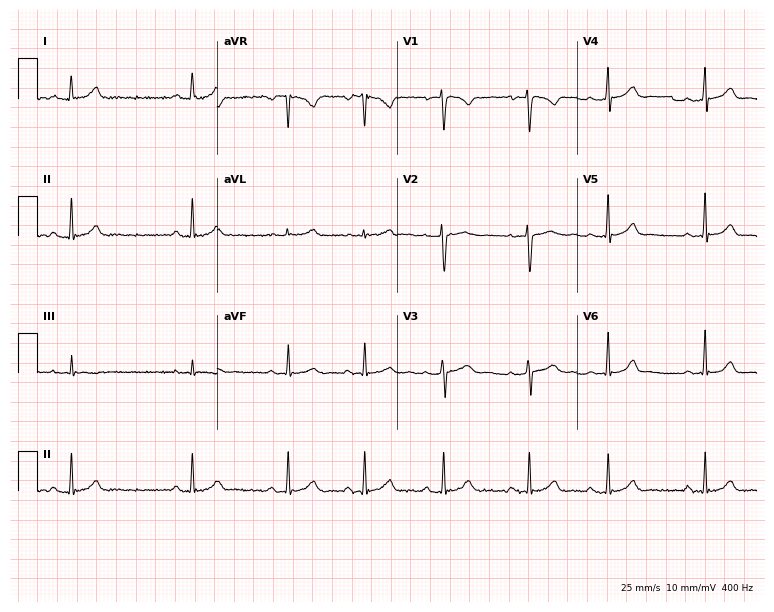
Electrocardiogram (7.3-second recording at 400 Hz), a 27-year-old female. Overall reading on record: normal ECG.